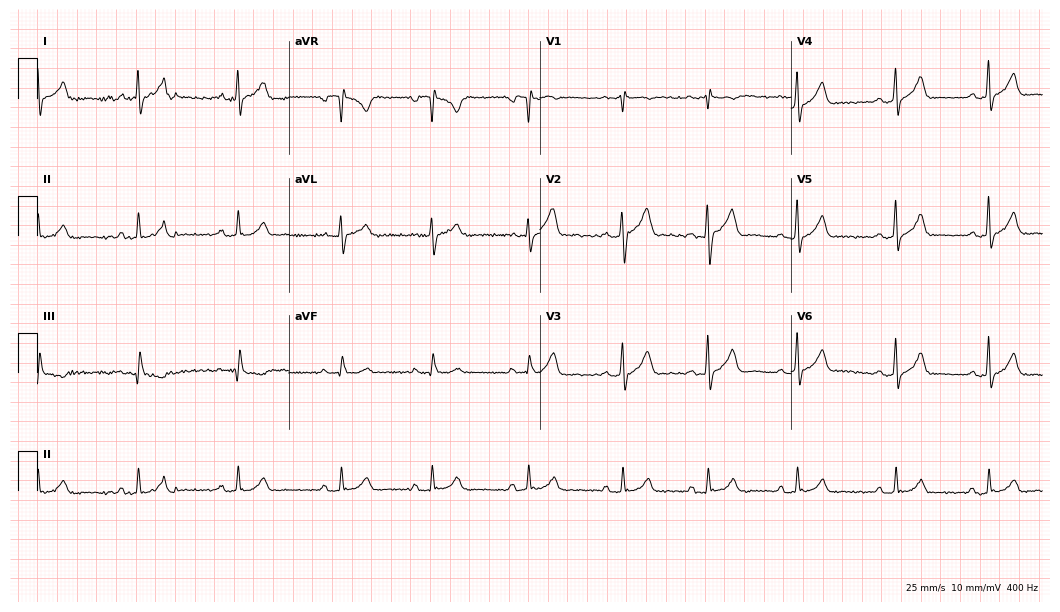
Electrocardiogram (10.2-second recording at 400 Hz), a man, 27 years old. Of the six screened findings (first-degree AV block, right bundle branch block (RBBB), left bundle branch block (LBBB), sinus bradycardia, atrial fibrillation (AF), sinus tachycardia), none is recorded.